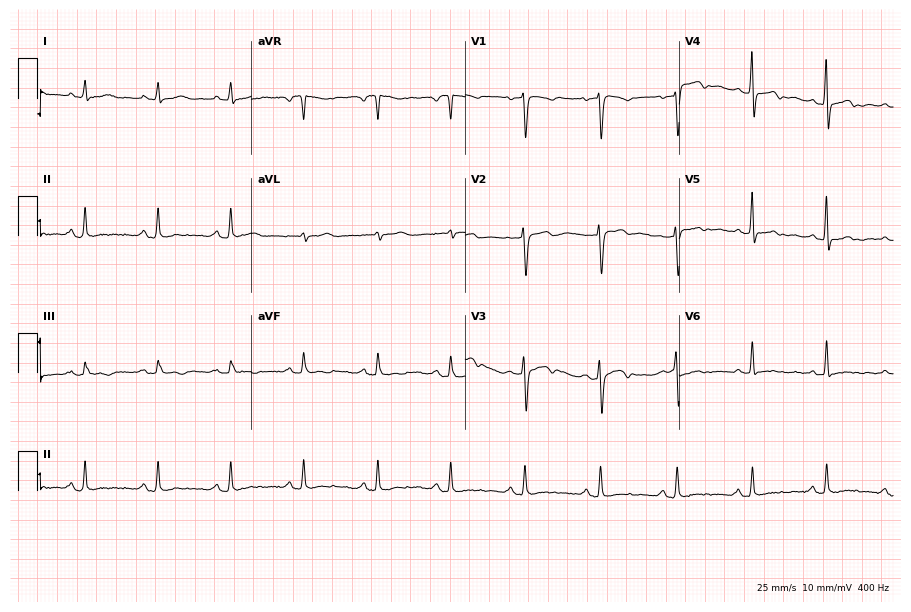
Electrocardiogram, a 55-year-old female. Of the six screened findings (first-degree AV block, right bundle branch block, left bundle branch block, sinus bradycardia, atrial fibrillation, sinus tachycardia), none is recorded.